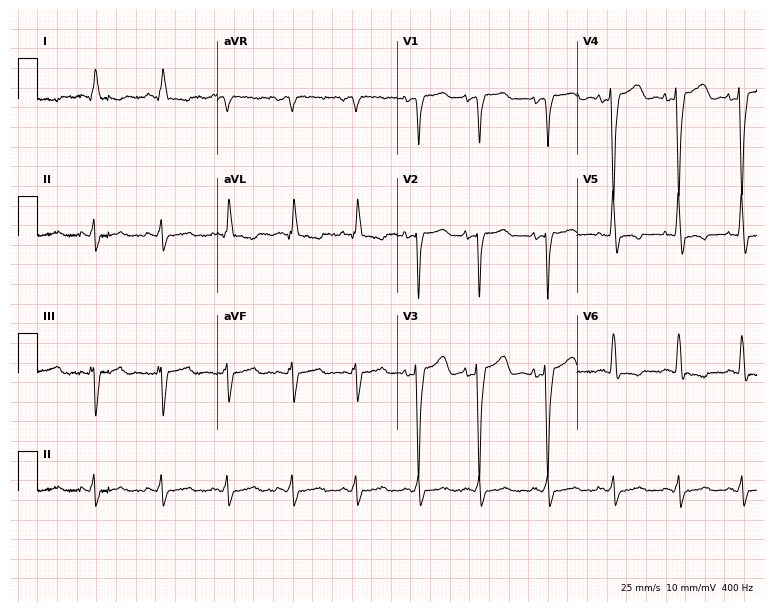
Resting 12-lead electrocardiogram. Patient: a male, 39 years old. The tracing shows left bundle branch block.